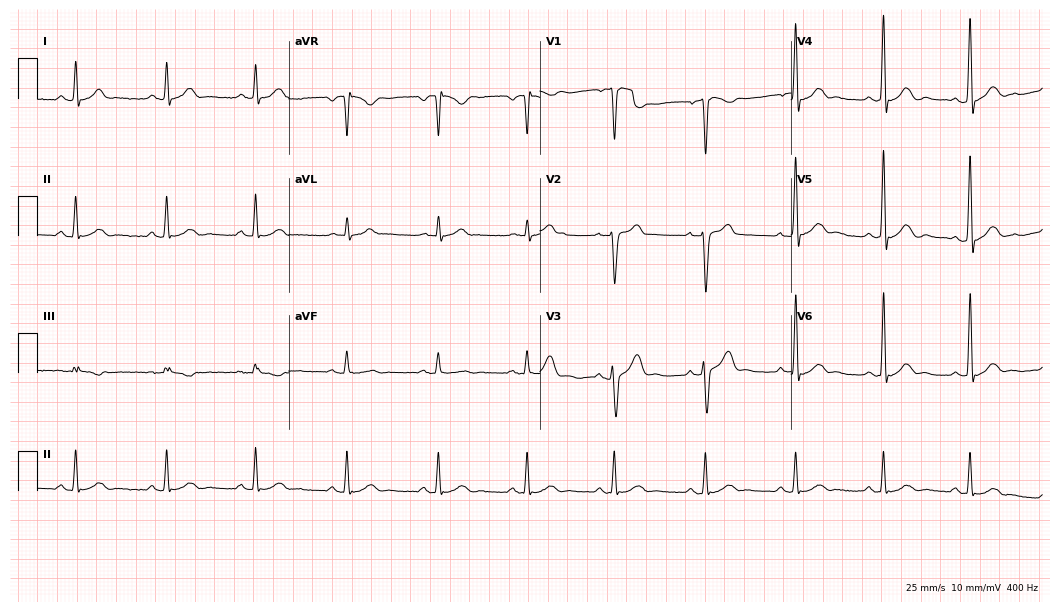
12-lead ECG from a male patient, 34 years old. Labelled as a normal ECG.